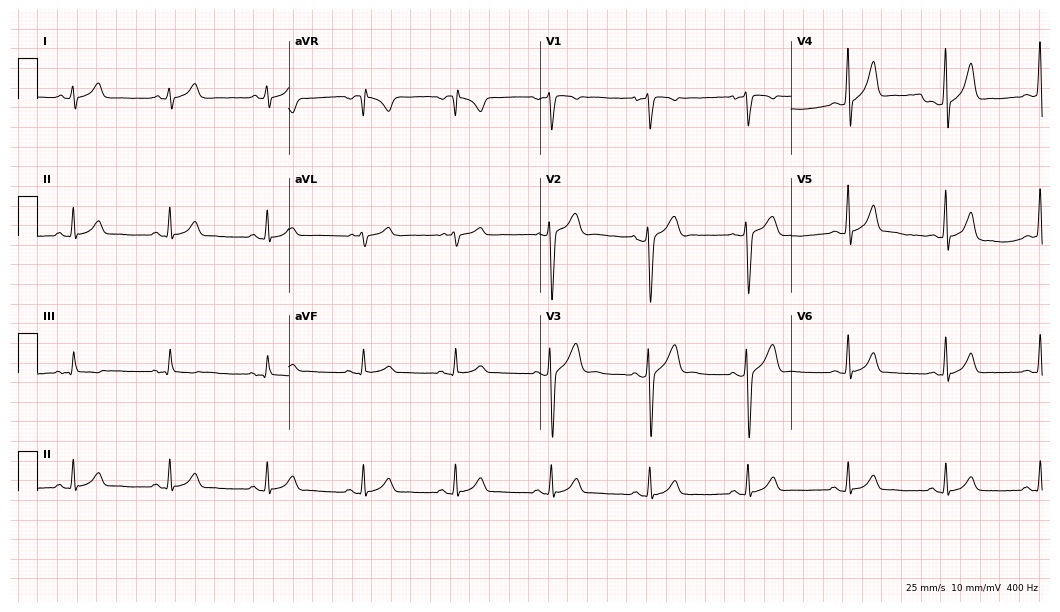
12-lead ECG from a 29-year-old man. Labelled as a normal ECG.